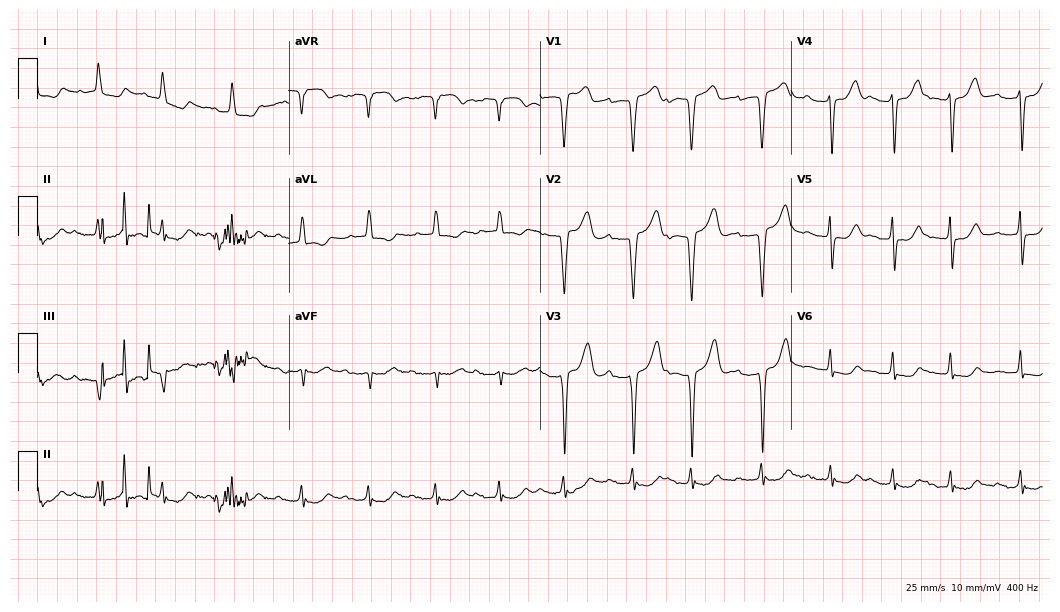
12-lead ECG from a female patient, 84 years old (10.2-second recording at 400 Hz). Shows first-degree AV block.